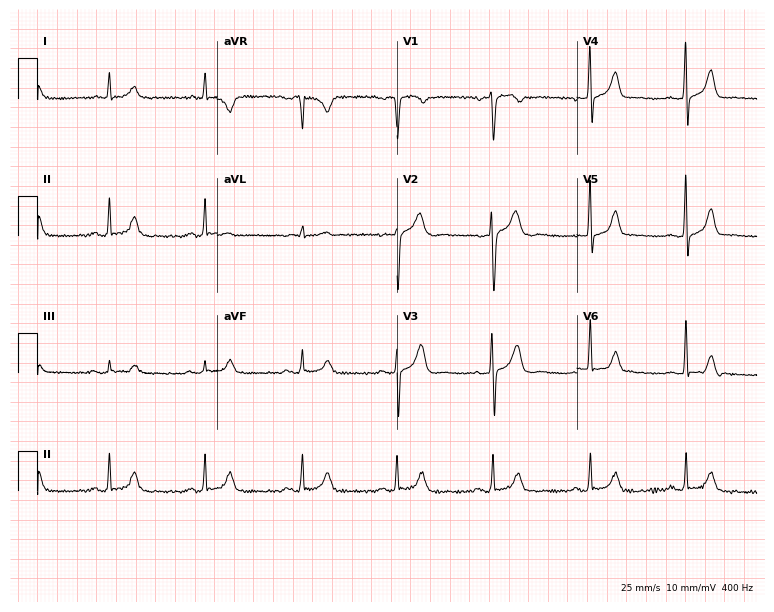
Resting 12-lead electrocardiogram. Patient: a 75-year-old male. None of these six findings is recorded: first-degree AV block, right bundle branch block, left bundle branch block, sinus bradycardia, atrial fibrillation, sinus tachycardia. Findings outside these six are not listed.